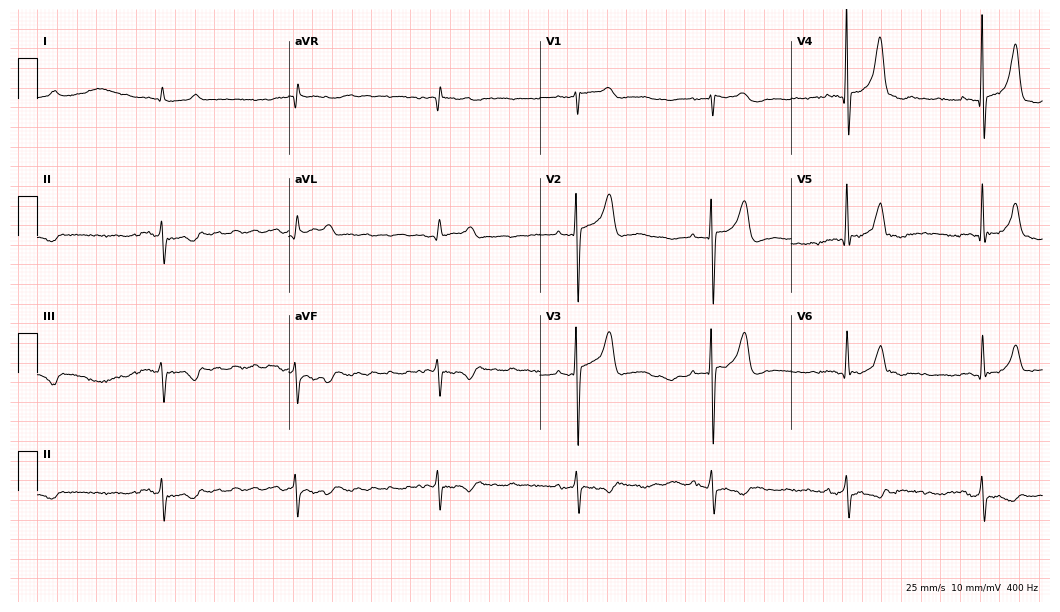
12-lead ECG (10.2-second recording at 400 Hz) from a 68-year-old male. Screened for six findings — first-degree AV block, right bundle branch block (RBBB), left bundle branch block (LBBB), sinus bradycardia, atrial fibrillation (AF), sinus tachycardia — none is recorded. Findings outside these six are not listed.